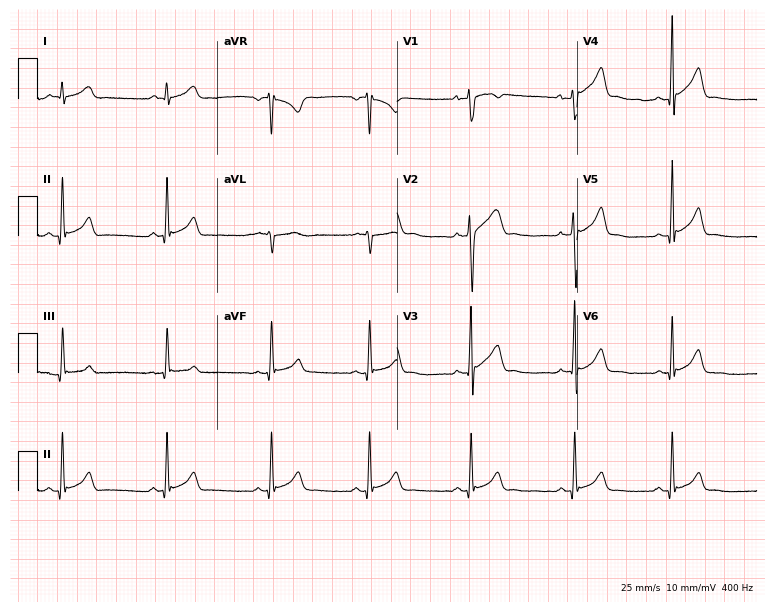
Resting 12-lead electrocardiogram. Patient: a 23-year-old male. Read as a normal ECG.